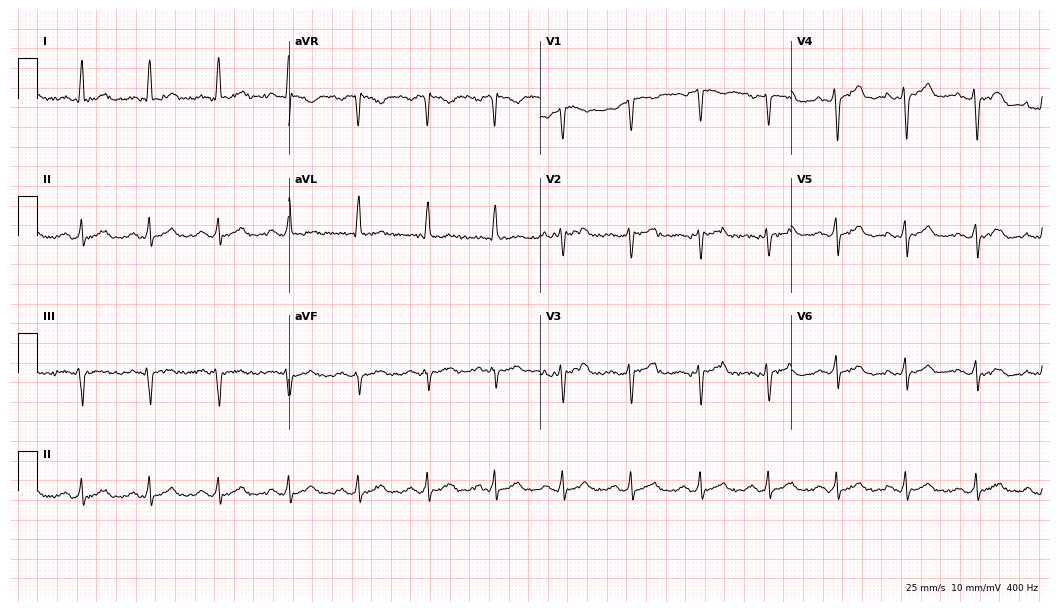
12-lead ECG from a 55-year-old female patient (10.2-second recording at 400 Hz). Recorded interpretation: within normal limits.